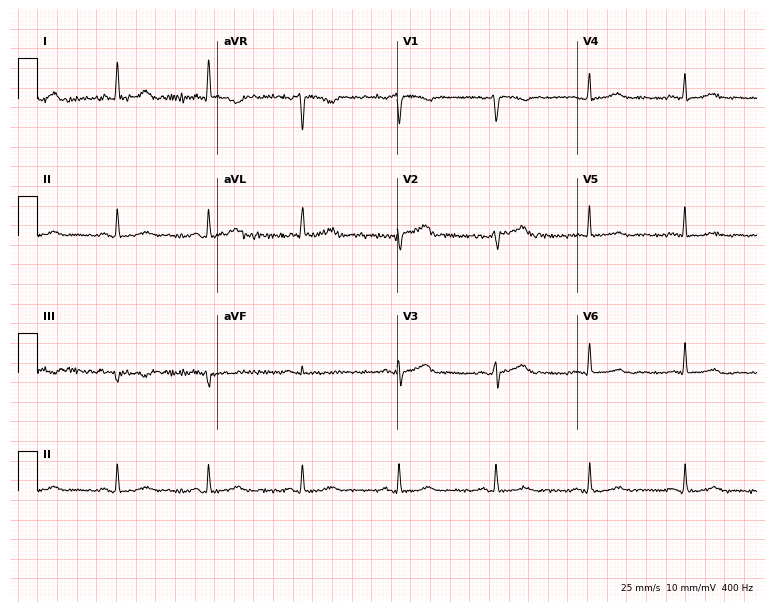
12-lead ECG from a 53-year-old female. No first-degree AV block, right bundle branch block, left bundle branch block, sinus bradycardia, atrial fibrillation or sinus tachycardia recorded for this tracing.